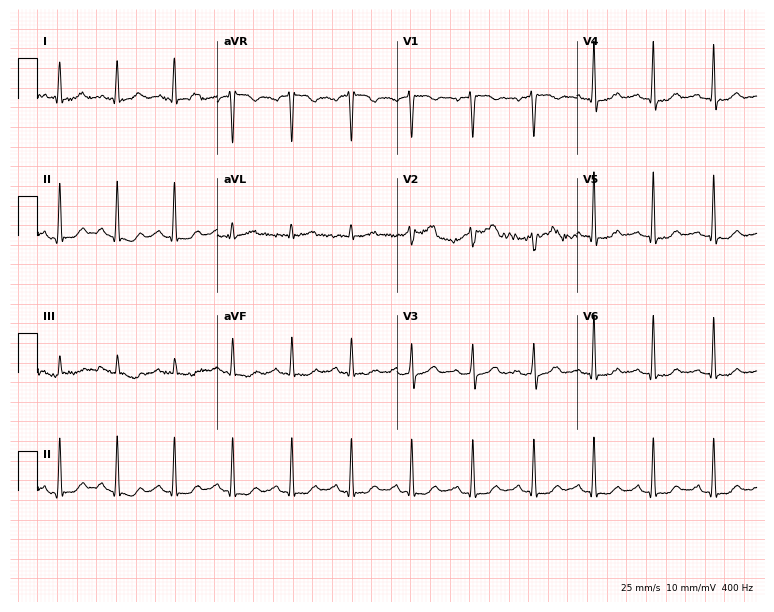
12-lead ECG from a 39-year-old woman (7.3-second recording at 400 Hz). No first-degree AV block, right bundle branch block (RBBB), left bundle branch block (LBBB), sinus bradycardia, atrial fibrillation (AF) or sinus tachycardia recorded for this tracing.